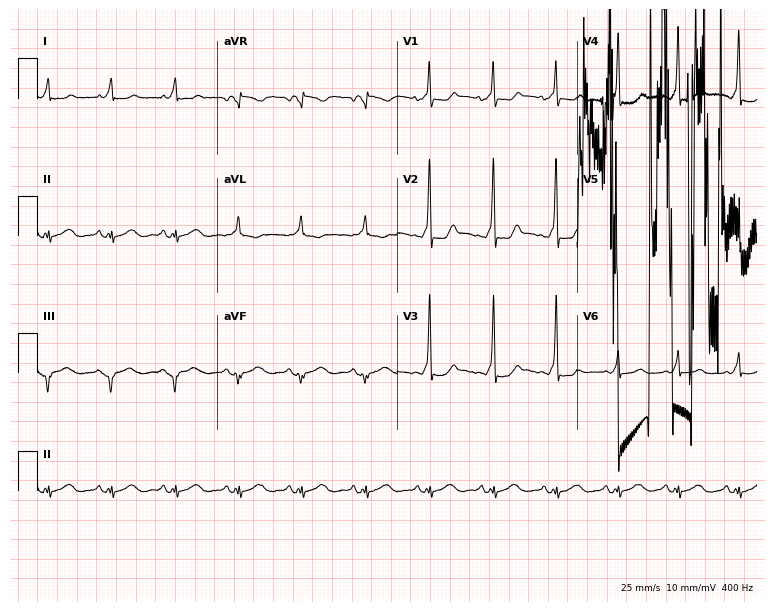
Electrocardiogram (7.3-second recording at 400 Hz), a female patient, 44 years old. Of the six screened findings (first-degree AV block, right bundle branch block, left bundle branch block, sinus bradycardia, atrial fibrillation, sinus tachycardia), none is recorded. Other findings, if any, are not listed.